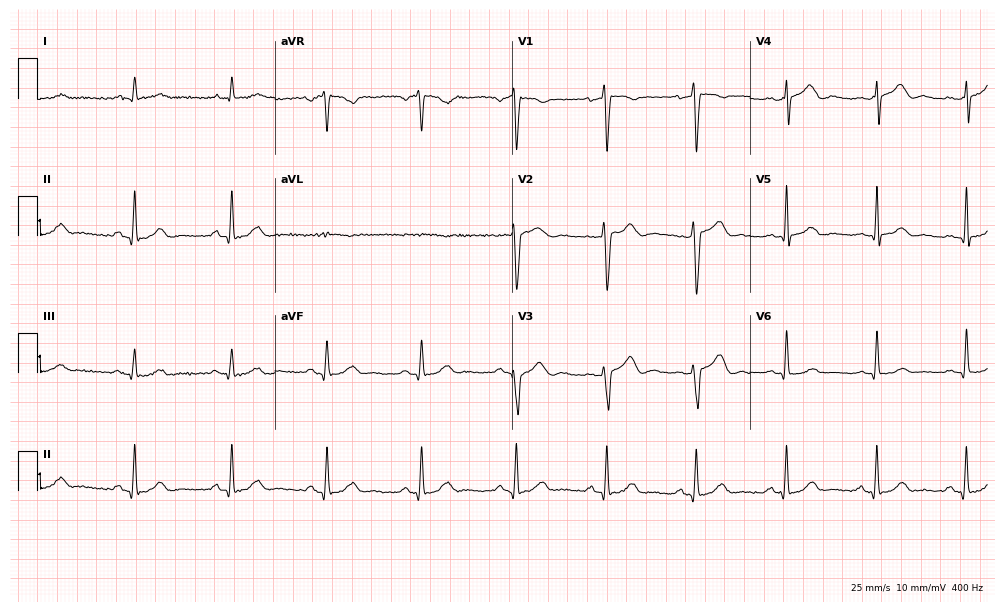
12-lead ECG (9.7-second recording at 400 Hz) from a 52-year-old man. Screened for six findings — first-degree AV block, right bundle branch block, left bundle branch block, sinus bradycardia, atrial fibrillation, sinus tachycardia — none is recorded. Findings outside these six are not listed.